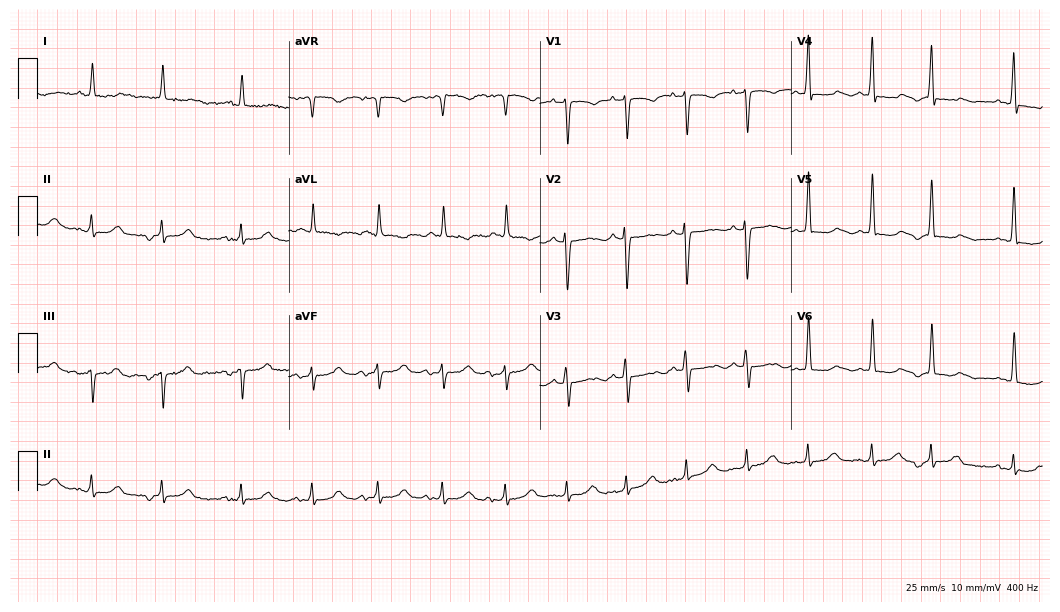
12-lead ECG (10.2-second recording at 400 Hz) from a woman, 84 years old. Labelled as a normal ECG.